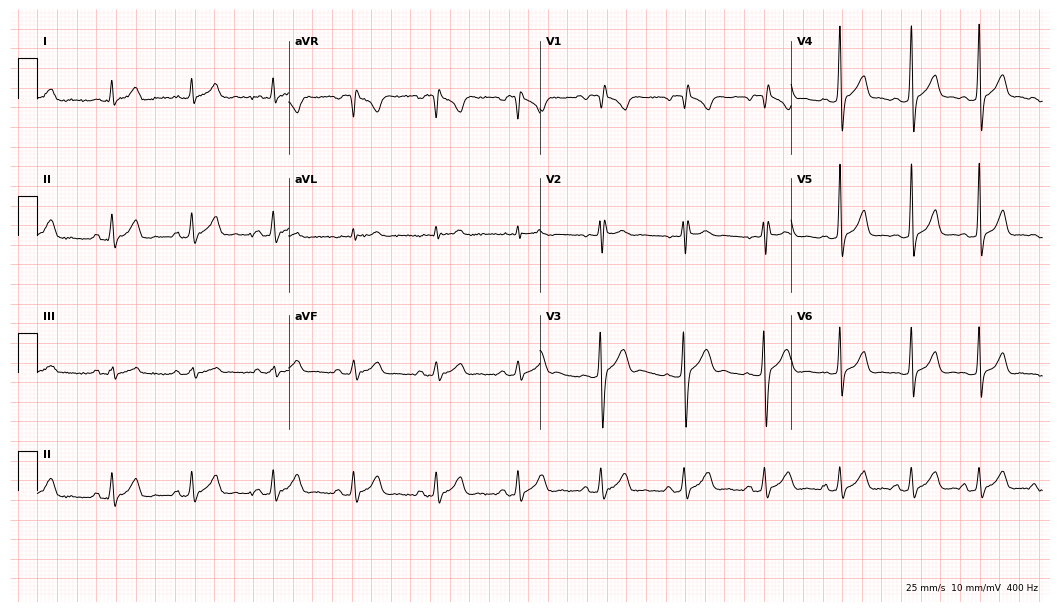
Standard 12-lead ECG recorded from a male patient, 21 years old (10.2-second recording at 400 Hz). None of these six findings is recorded: first-degree AV block, right bundle branch block (RBBB), left bundle branch block (LBBB), sinus bradycardia, atrial fibrillation (AF), sinus tachycardia. Only these six findings were labelled.